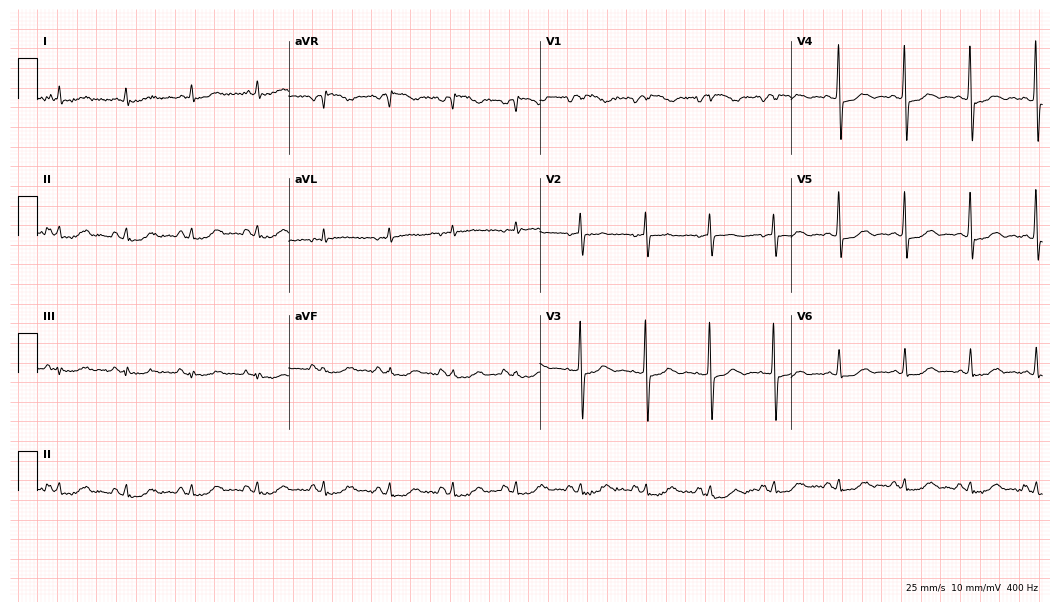
12-lead ECG from a woman, 81 years old (10.2-second recording at 400 Hz). No first-degree AV block, right bundle branch block, left bundle branch block, sinus bradycardia, atrial fibrillation or sinus tachycardia recorded for this tracing.